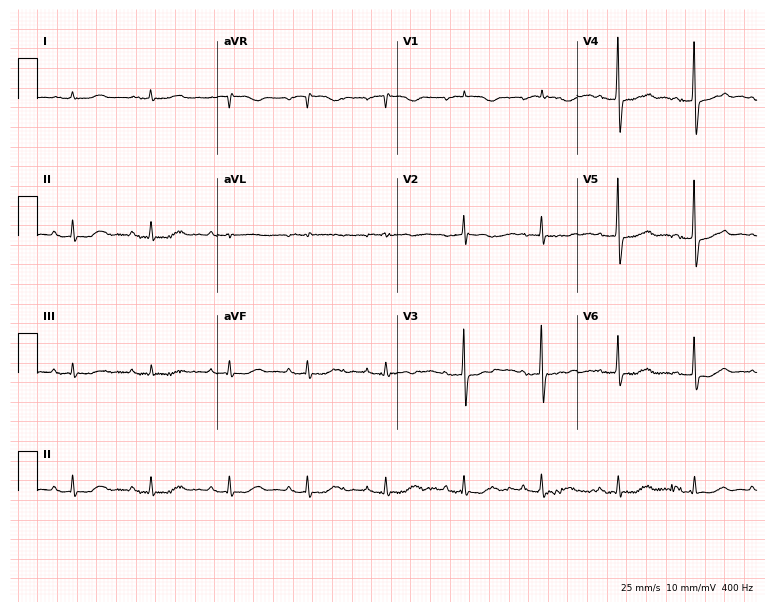
12-lead ECG from a man, 87 years old. Screened for six findings — first-degree AV block, right bundle branch block, left bundle branch block, sinus bradycardia, atrial fibrillation, sinus tachycardia — none is recorded. Findings outside these six are not listed.